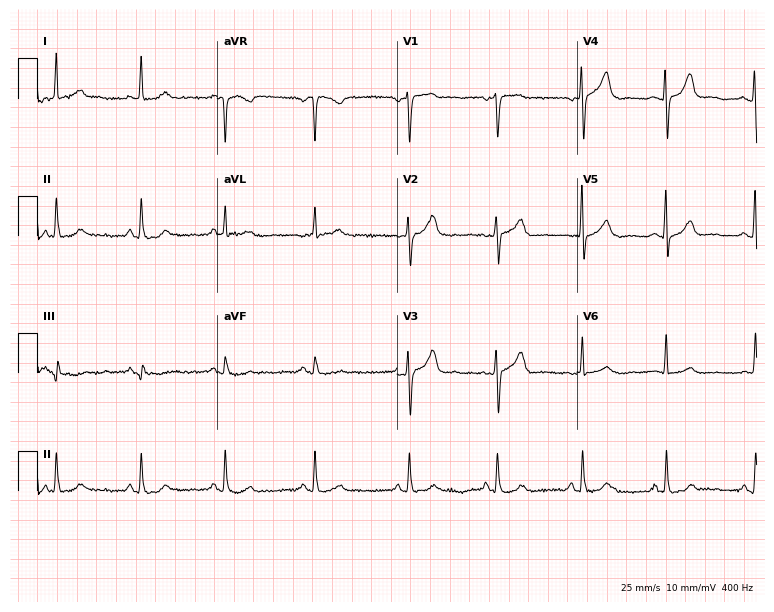
ECG (7.3-second recording at 400 Hz) — a 64-year-old female patient. Labelled as a normal ECG.